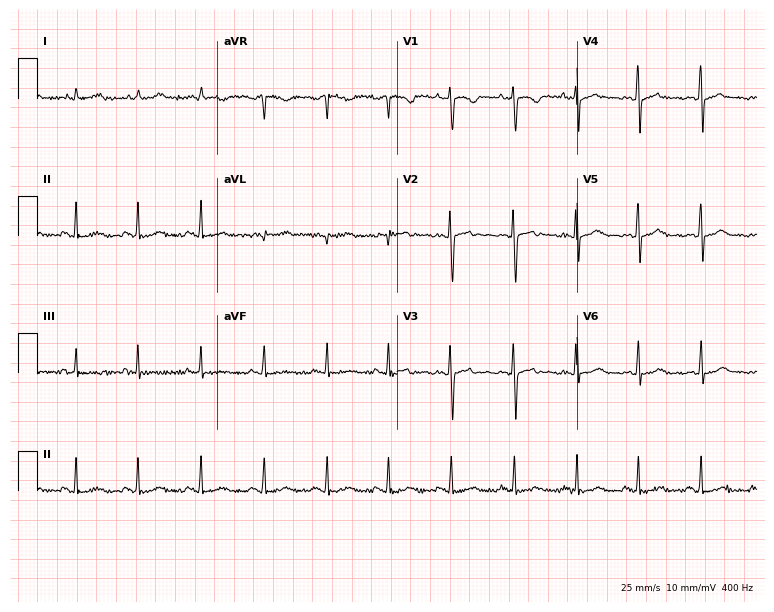
Resting 12-lead electrocardiogram (7.3-second recording at 400 Hz). Patient: a female, 17 years old. None of these six findings is recorded: first-degree AV block, right bundle branch block, left bundle branch block, sinus bradycardia, atrial fibrillation, sinus tachycardia.